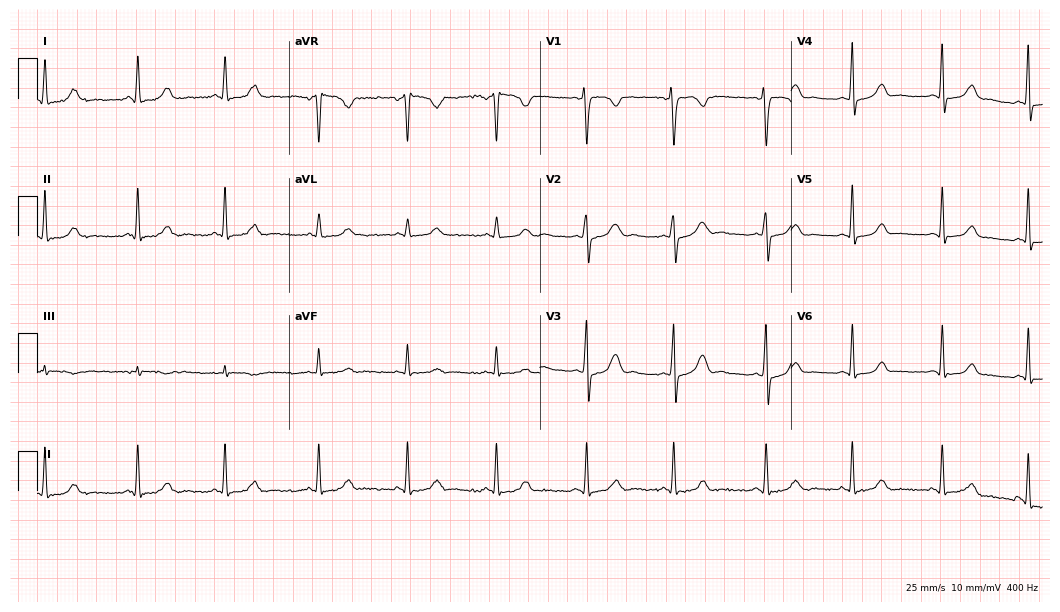
ECG — a female, 20 years old. Labelled as a normal ECG.